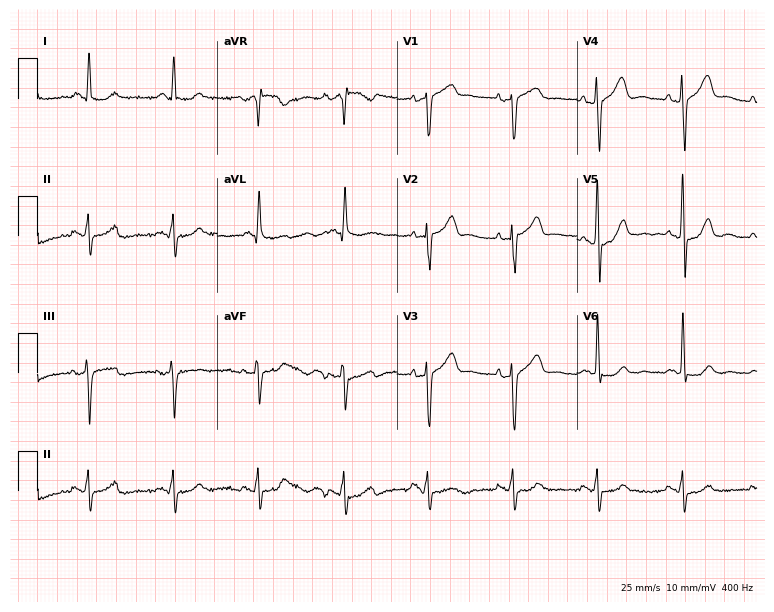
12-lead ECG from a 47-year-old man. Labelled as a normal ECG.